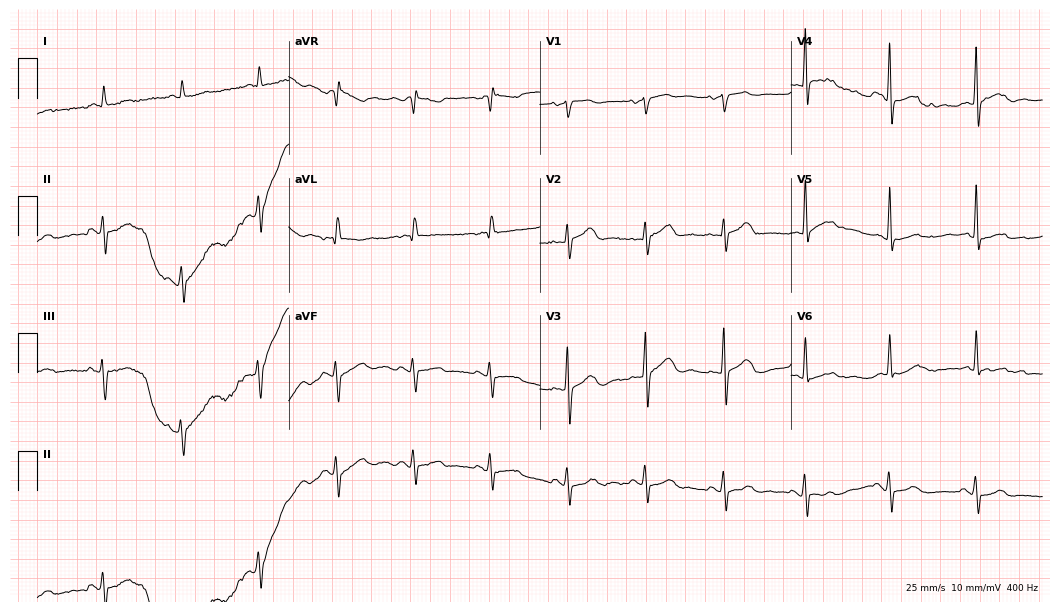
Electrocardiogram, an 81-year-old male. Overall reading on record: normal ECG.